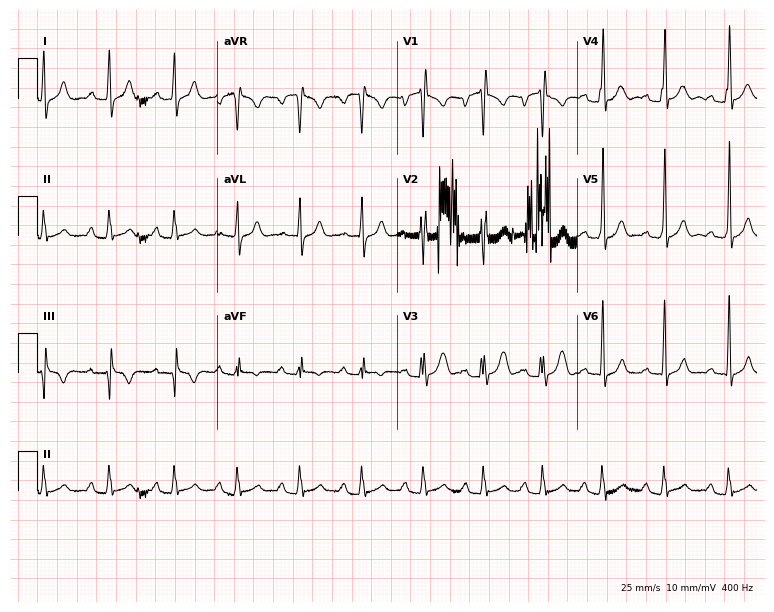
12-lead ECG from a male patient, 18 years old. Screened for six findings — first-degree AV block, right bundle branch block, left bundle branch block, sinus bradycardia, atrial fibrillation, sinus tachycardia — none is recorded.